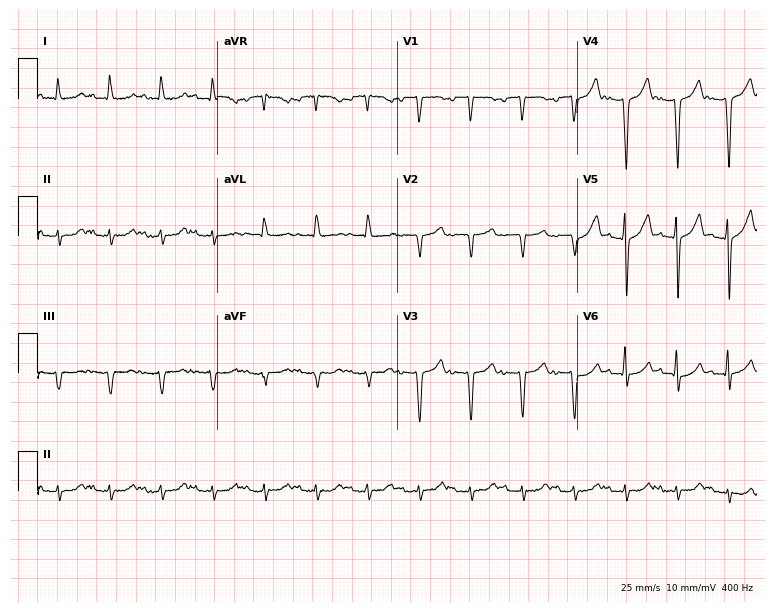
Standard 12-lead ECG recorded from a 77-year-old female patient (7.3-second recording at 400 Hz). The tracing shows sinus tachycardia (a sinus rate of 100 beats per minute or more).